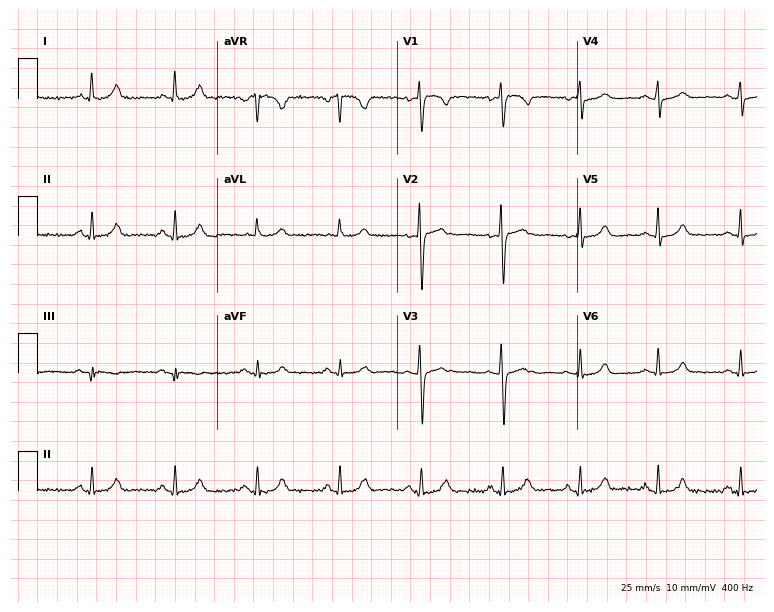
Electrocardiogram, a woman, 44 years old. Of the six screened findings (first-degree AV block, right bundle branch block (RBBB), left bundle branch block (LBBB), sinus bradycardia, atrial fibrillation (AF), sinus tachycardia), none is recorded. Findings outside these six are not listed.